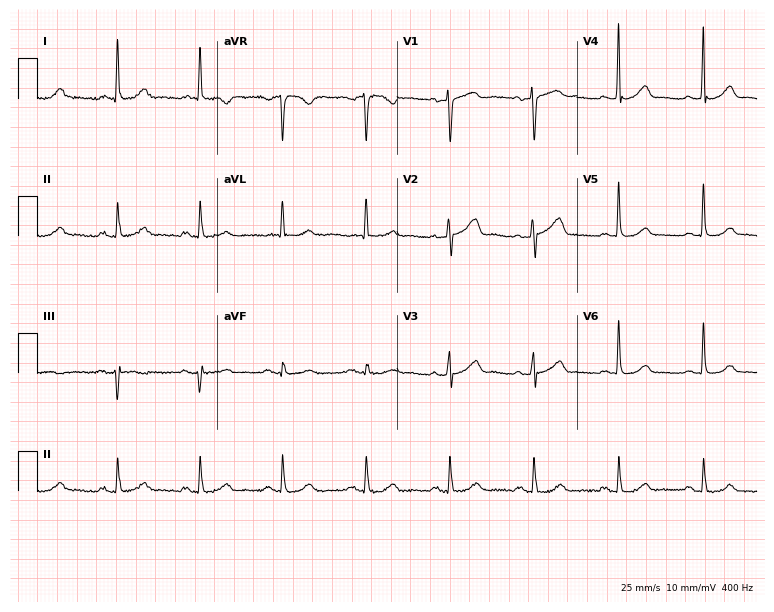
12-lead ECG from a female, 78 years old. Recorded interpretation: within normal limits.